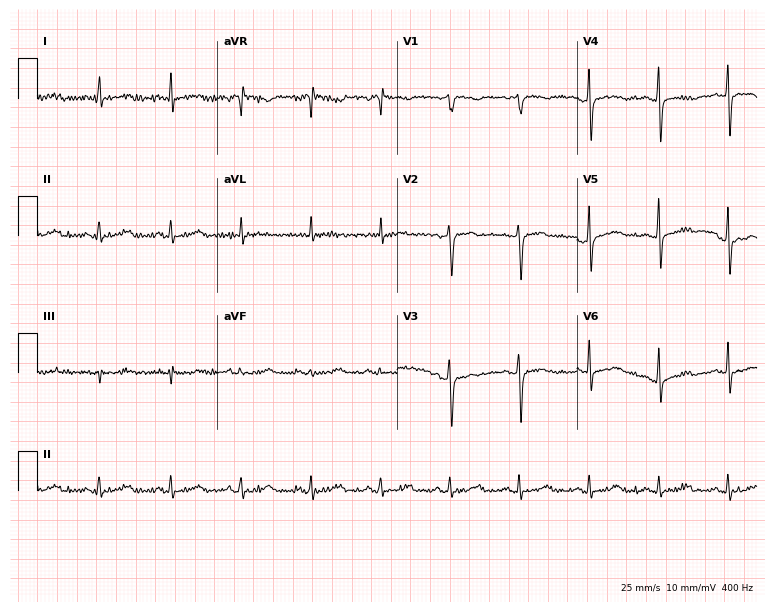
Standard 12-lead ECG recorded from a female, 56 years old (7.3-second recording at 400 Hz). None of these six findings is recorded: first-degree AV block, right bundle branch block (RBBB), left bundle branch block (LBBB), sinus bradycardia, atrial fibrillation (AF), sinus tachycardia.